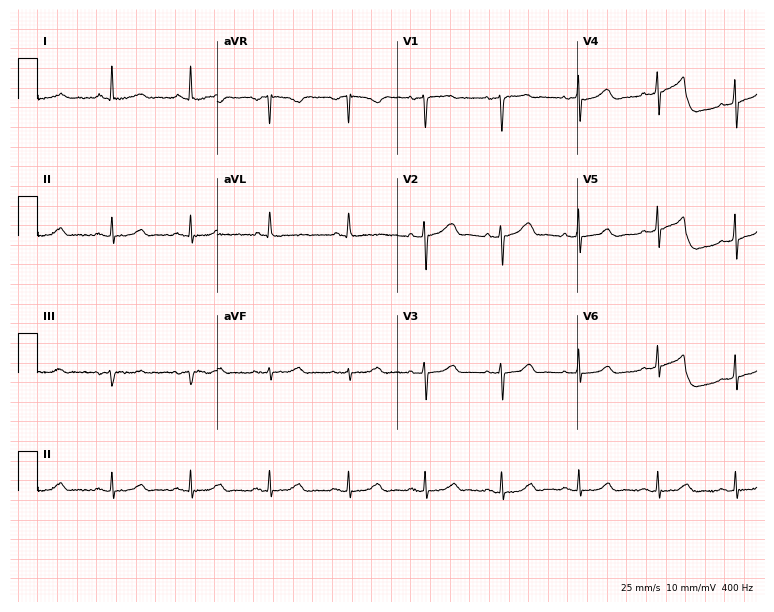
ECG — a female, 59 years old. Labelled as a normal ECG.